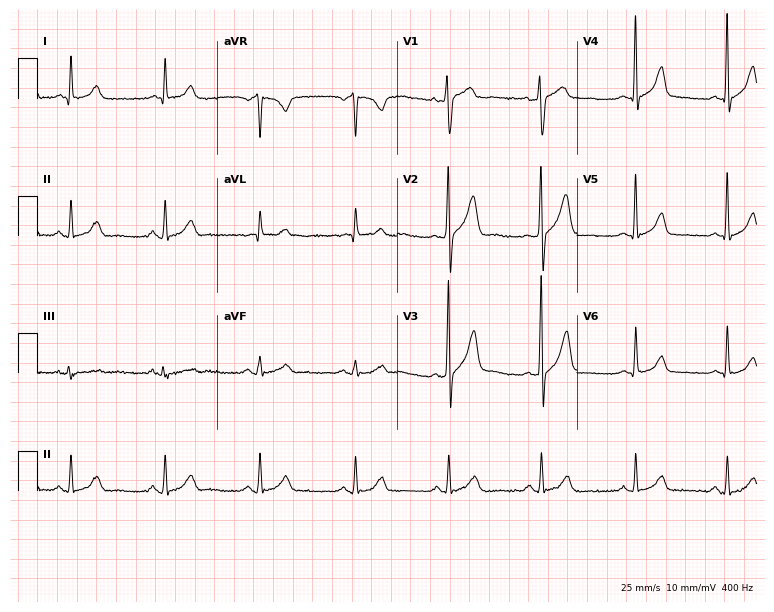
12-lead ECG from a male patient, 53 years old. Recorded interpretation: within normal limits.